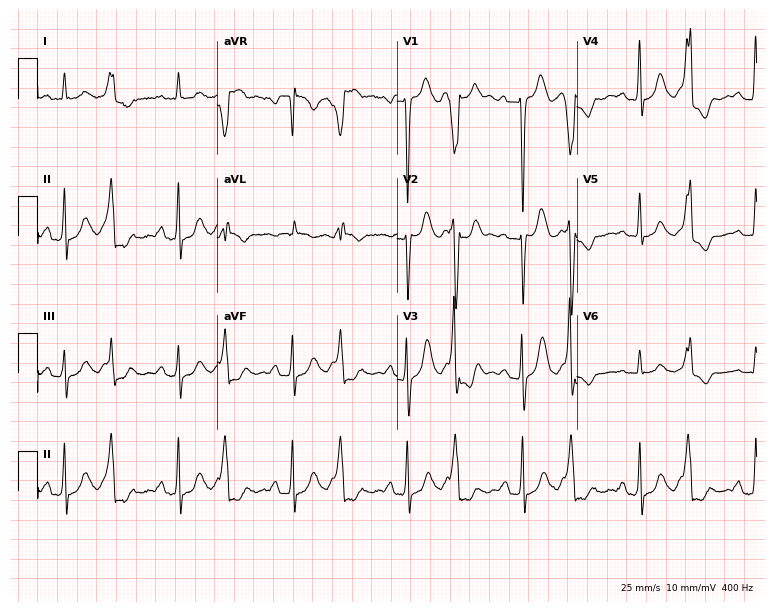
ECG (7.3-second recording at 400 Hz) — a man, 74 years old. Screened for six findings — first-degree AV block, right bundle branch block, left bundle branch block, sinus bradycardia, atrial fibrillation, sinus tachycardia — none is recorded. Findings outside these six are not listed.